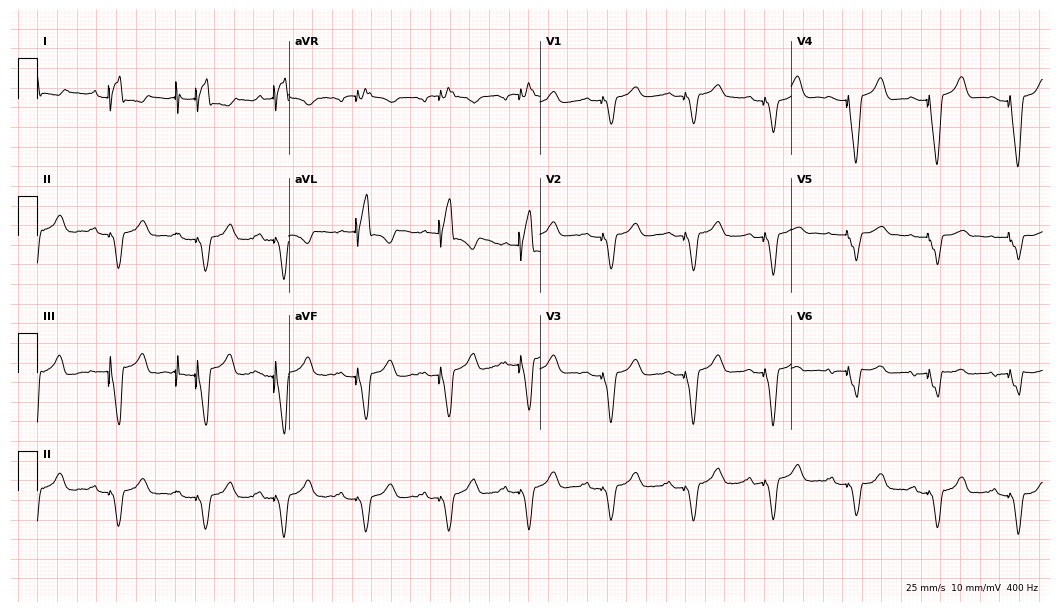
Standard 12-lead ECG recorded from a 74-year-old female patient (10.2-second recording at 400 Hz). None of these six findings is recorded: first-degree AV block, right bundle branch block, left bundle branch block, sinus bradycardia, atrial fibrillation, sinus tachycardia. Only these six findings were labelled.